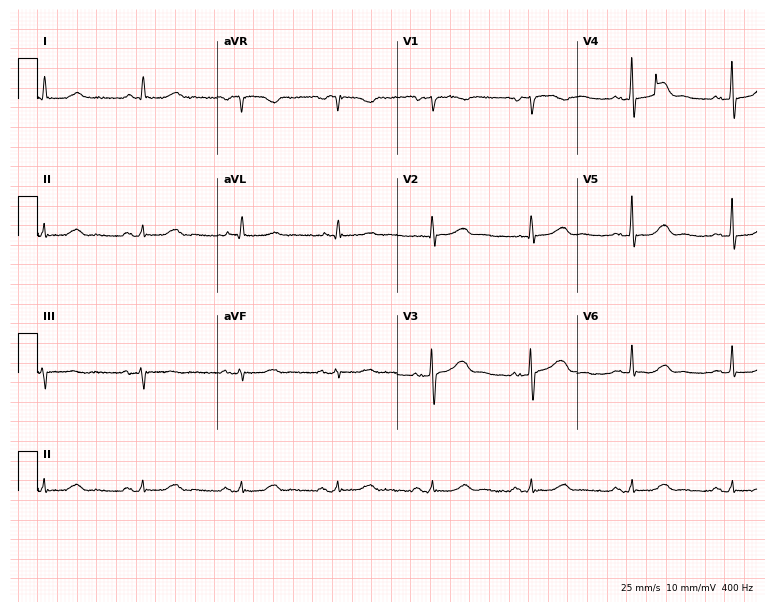
12-lead ECG (7.3-second recording at 400 Hz) from a woman, 78 years old. Screened for six findings — first-degree AV block, right bundle branch block, left bundle branch block, sinus bradycardia, atrial fibrillation, sinus tachycardia — none is recorded.